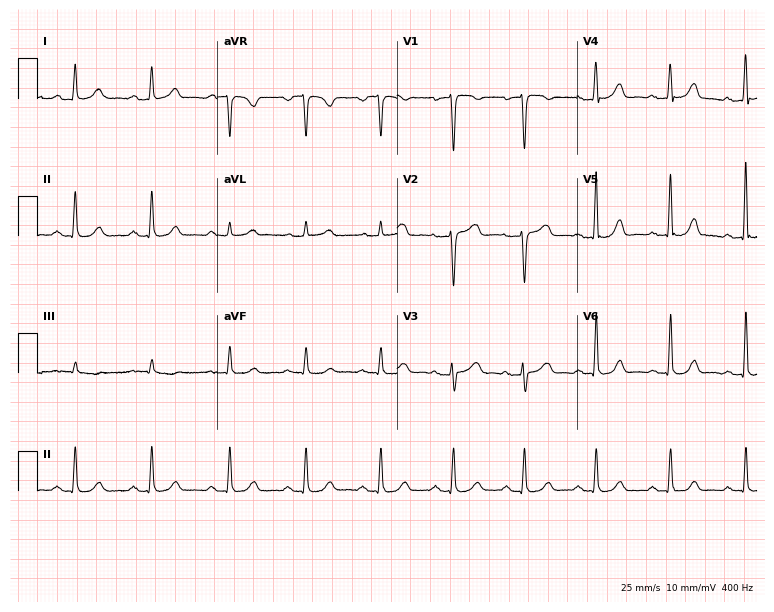
ECG — a 48-year-old woman. Labelled as a normal ECG.